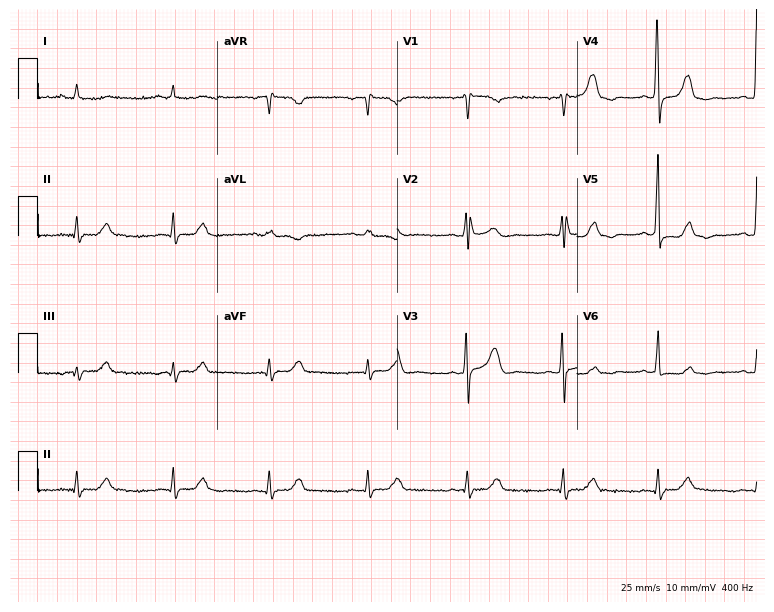
12-lead ECG (7.3-second recording at 400 Hz) from a 69-year-old female patient. Screened for six findings — first-degree AV block, right bundle branch block (RBBB), left bundle branch block (LBBB), sinus bradycardia, atrial fibrillation (AF), sinus tachycardia — none is recorded. Findings outside these six are not listed.